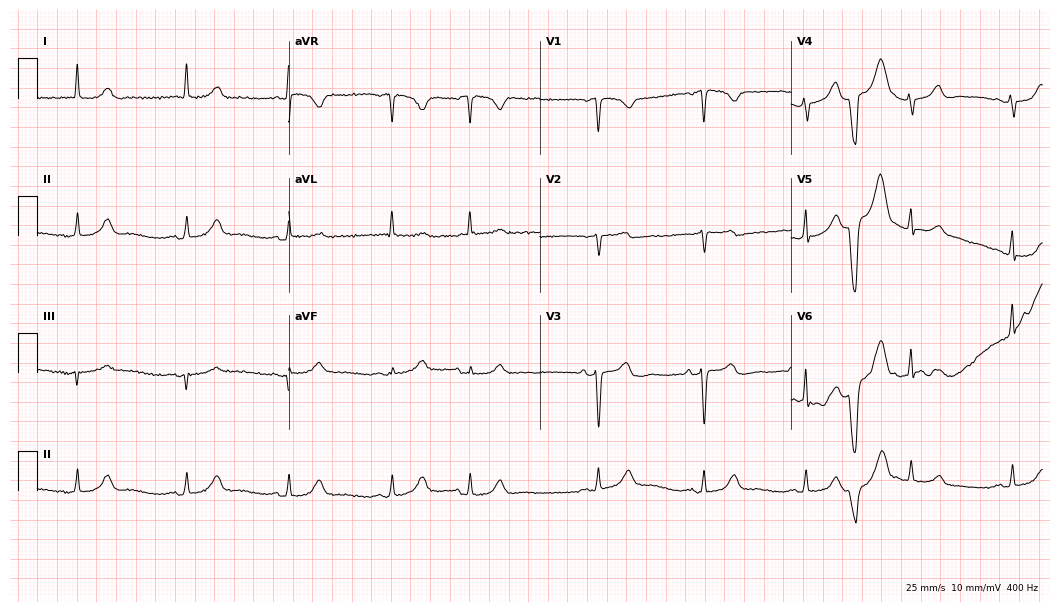
Standard 12-lead ECG recorded from a female, 72 years old (10.2-second recording at 400 Hz). None of these six findings is recorded: first-degree AV block, right bundle branch block, left bundle branch block, sinus bradycardia, atrial fibrillation, sinus tachycardia.